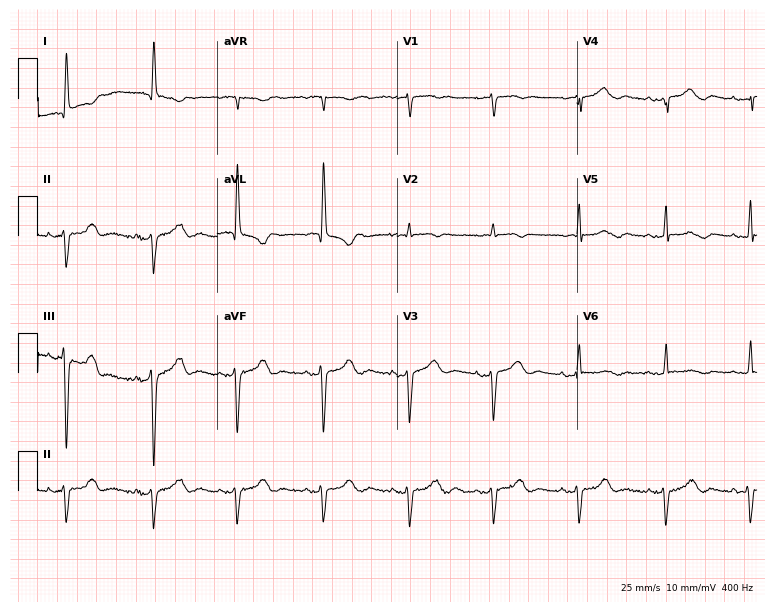
Standard 12-lead ECG recorded from a female, 85 years old. None of these six findings is recorded: first-degree AV block, right bundle branch block (RBBB), left bundle branch block (LBBB), sinus bradycardia, atrial fibrillation (AF), sinus tachycardia.